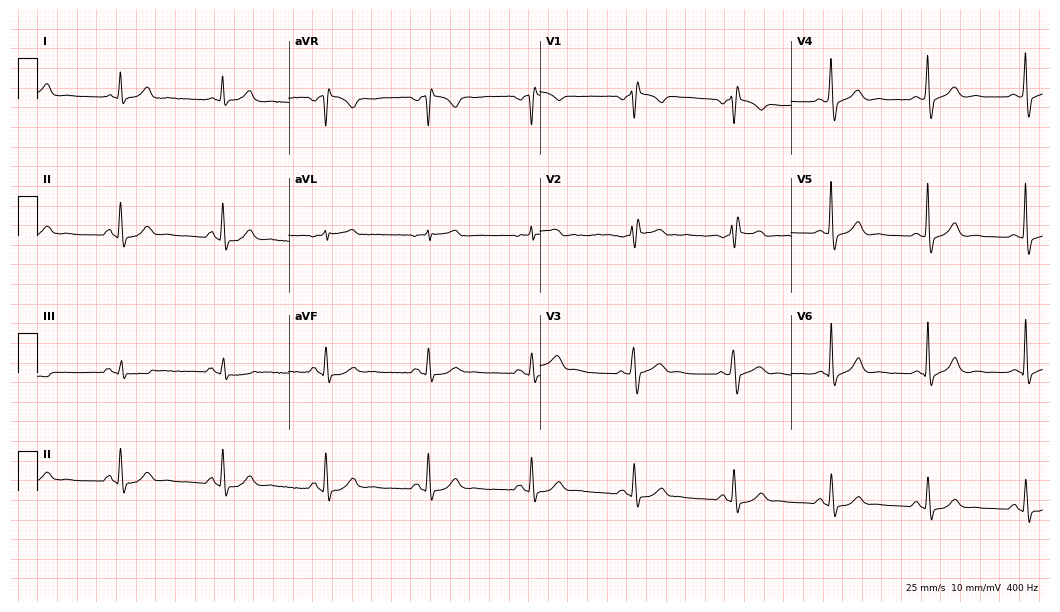
Standard 12-lead ECG recorded from a male, 61 years old (10.2-second recording at 400 Hz). None of these six findings is recorded: first-degree AV block, right bundle branch block, left bundle branch block, sinus bradycardia, atrial fibrillation, sinus tachycardia. Only these six findings were labelled.